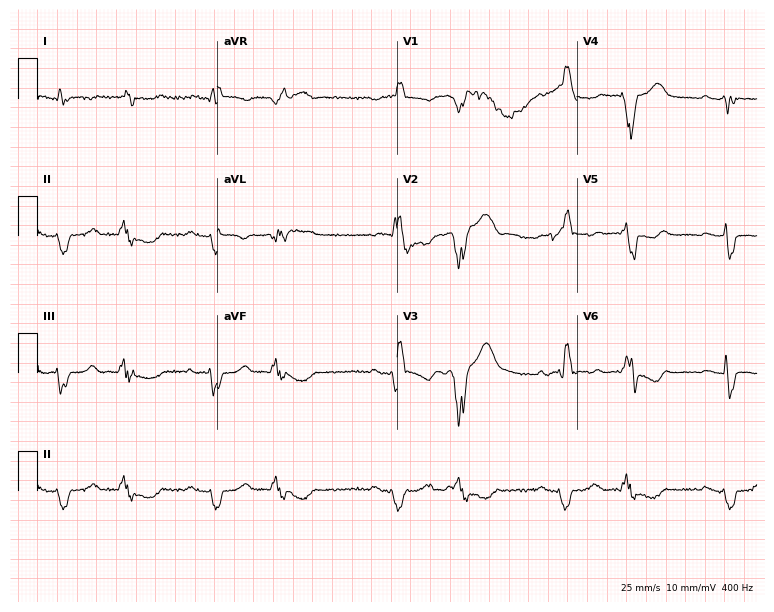
12-lead ECG from a male, 76 years old (7.3-second recording at 400 Hz). No first-degree AV block, right bundle branch block (RBBB), left bundle branch block (LBBB), sinus bradycardia, atrial fibrillation (AF) or sinus tachycardia recorded for this tracing.